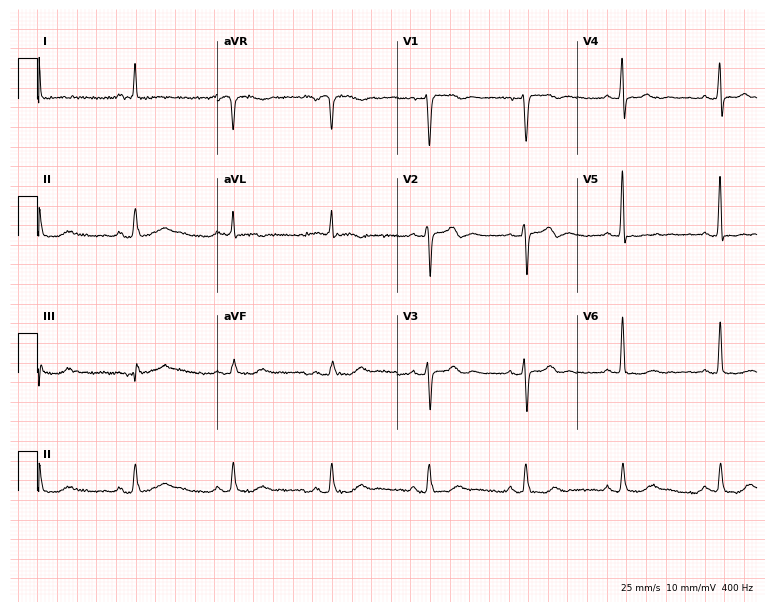
ECG — a 79-year-old woman. Screened for six findings — first-degree AV block, right bundle branch block (RBBB), left bundle branch block (LBBB), sinus bradycardia, atrial fibrillation (AF), sinus tachycardia — none is recorded.